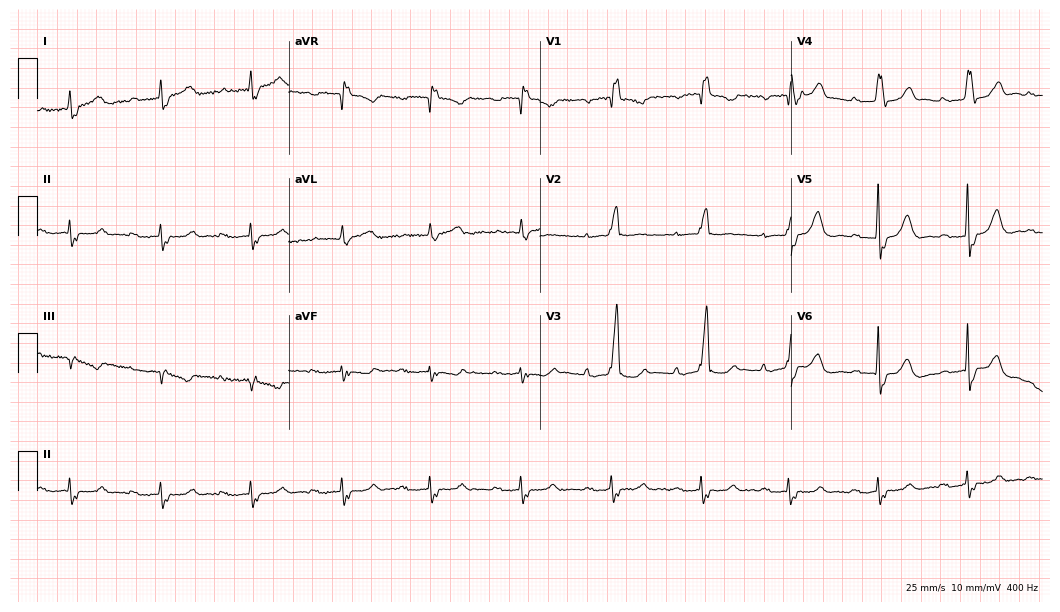
Electrocardiogram (10.2-second recording at 400 Hz), a female patient, 83 years old. Interpretation includes first-degree AV block, right bundle branch block.